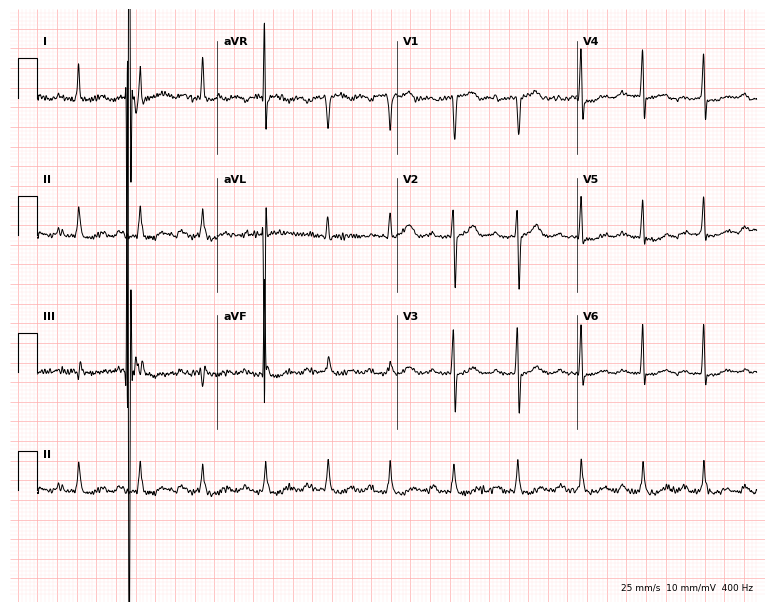
12-lead ECG (7.3-second recording at 400 Hz) from a 76-year-old man. Screened for six findings — first-degree AV block, right bundle branch block, left bundle branch block, sinus bradycardia, atrial fibrillation, sinus tachycardia — none is recorded. Other findings, if any, are not listed.